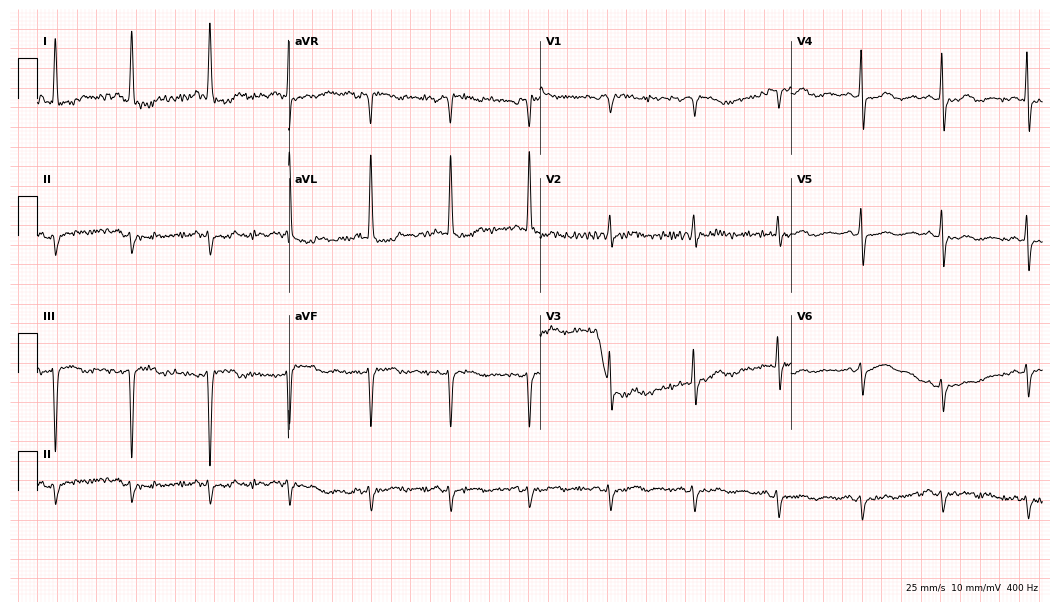
Resting 12-lead electrocardiogram (10.2-second recording at 400 Hz). Patient: an 85-year-old woman. None of these six findings is recorded: first-degree AV block, right bundle branch block (RBBB), left bundle branch block (LBBB), sinus bradycardia, atrial fibrillation (AF), sinus tachycardia.